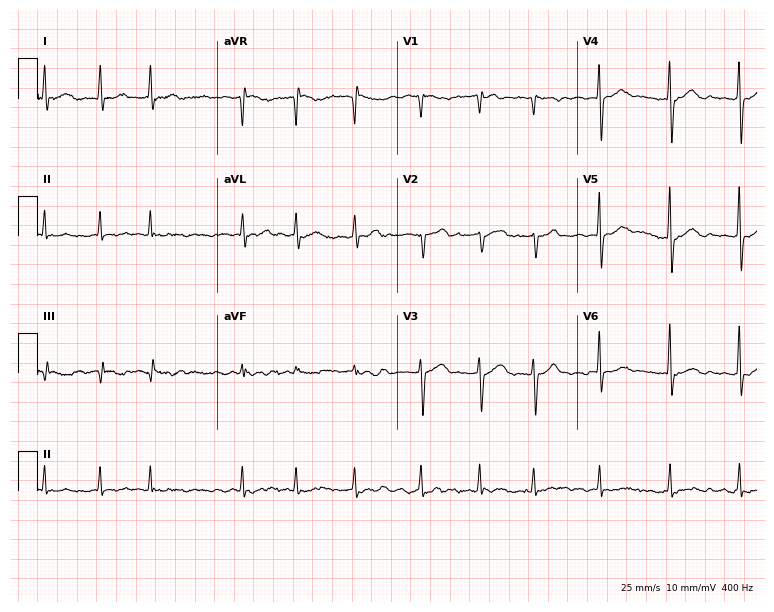
Resting 12-lead electrocardiogram. Patient: a female, 71 years old. The tracing shows atrial fibrillation.